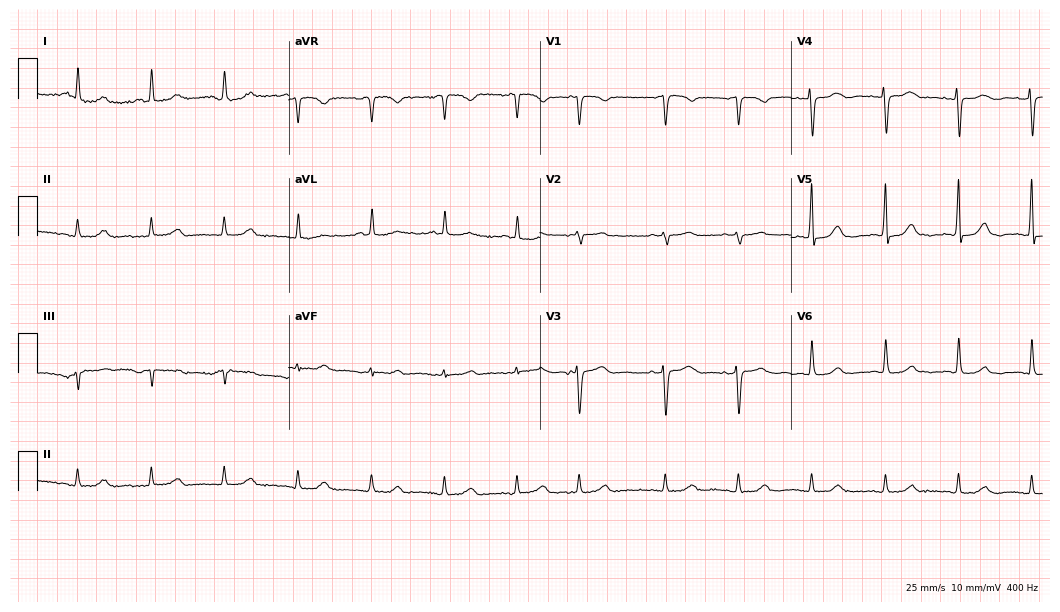
Electrocardiogram (10.2-second recording at 400 Hz), a 73-year-old woman. Overall reading on record: normal ECG.